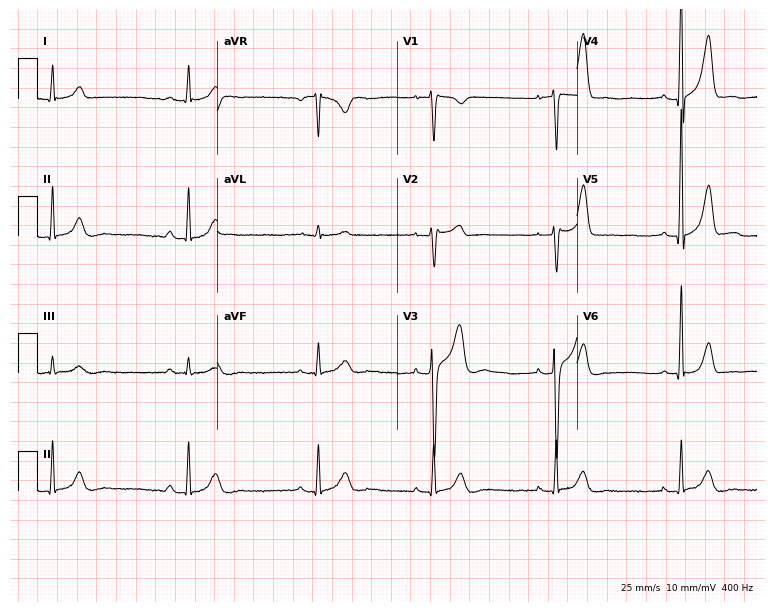
12-lead ECG (7.3-second recording at 400 Hz) from a male patient, 51 years old. Screened for six findings — first-degree AV block, right bundle branch block (RBBB), left bundle branch block (LBBB), sinus bradycardia, atrial fibrillation (AF), sinus tachycardia — none is recorded.